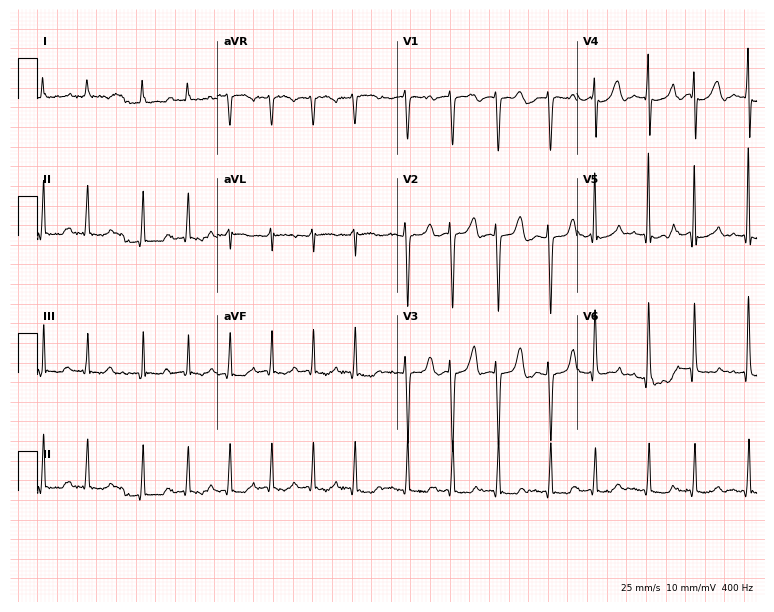
12-lead ECG from a 71-year-old woman. Findings include atrial fibrillation (AF), sinus tachycardia (a sinus rate of 100 beats per minute or more).